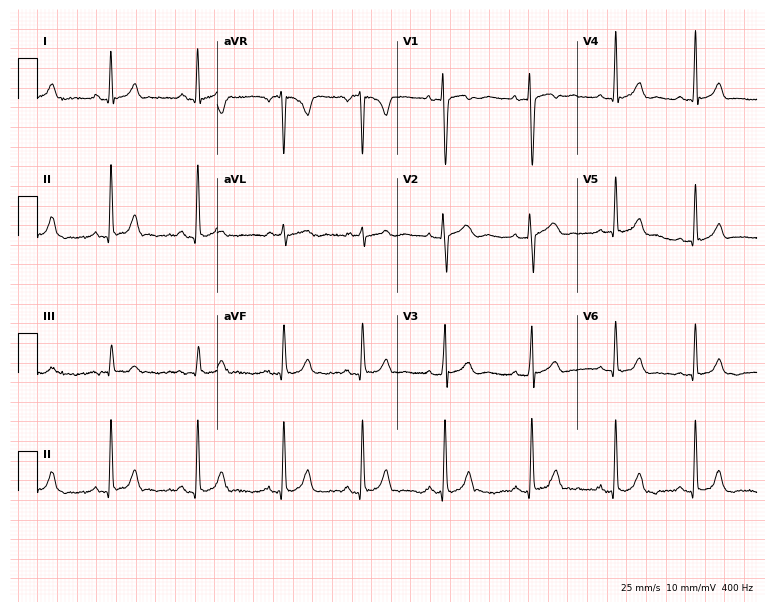
ECG (7.3-second recording at 400 Hz) — a female patient, 24 years old. Labelled as a normal ECG.